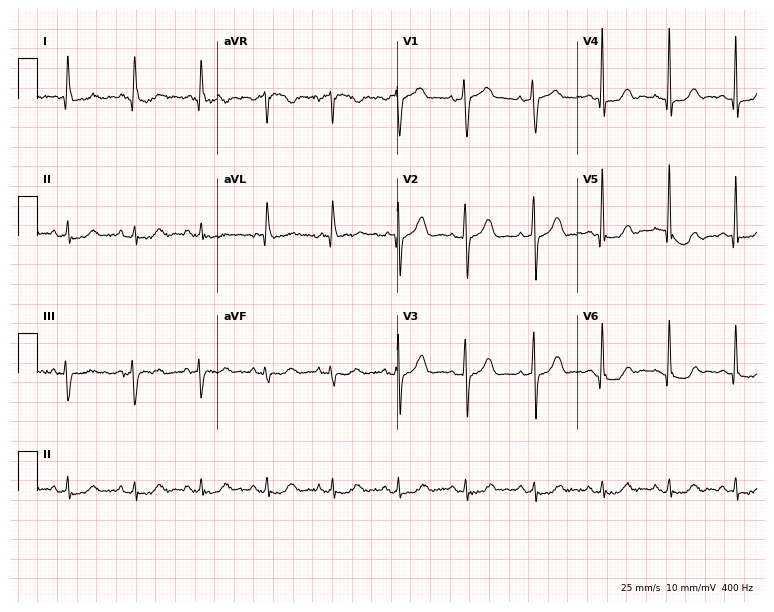
ECG — an 82-year-old male patient. Screened for six findings — first-degree AV block, right bundle branch block, left bundle branch block, sinus bradycardia, atrial fibrillation, sinus tachycardia — none is recorded. Findings outside these six are not listed.